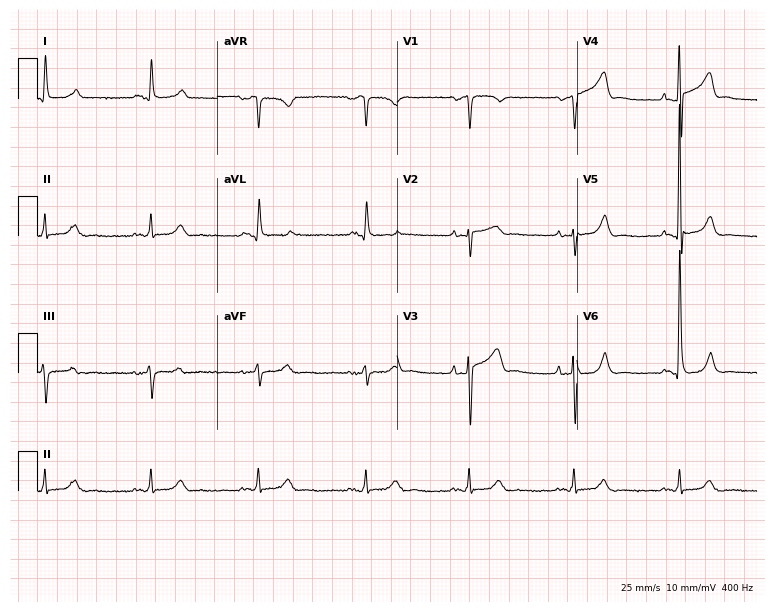
Electrocardiogram (7.3-second recording at 400 Hz), a male patient, 66 years old. Of the six screened findings (first-degree AV block, right bundle branch block (RBBB), left bundle branch block (LBBB), sinus bradycardia, atrial fibrillation (AF), sinus tachycardia), none is recorded. Other findings, if any, are not listed.